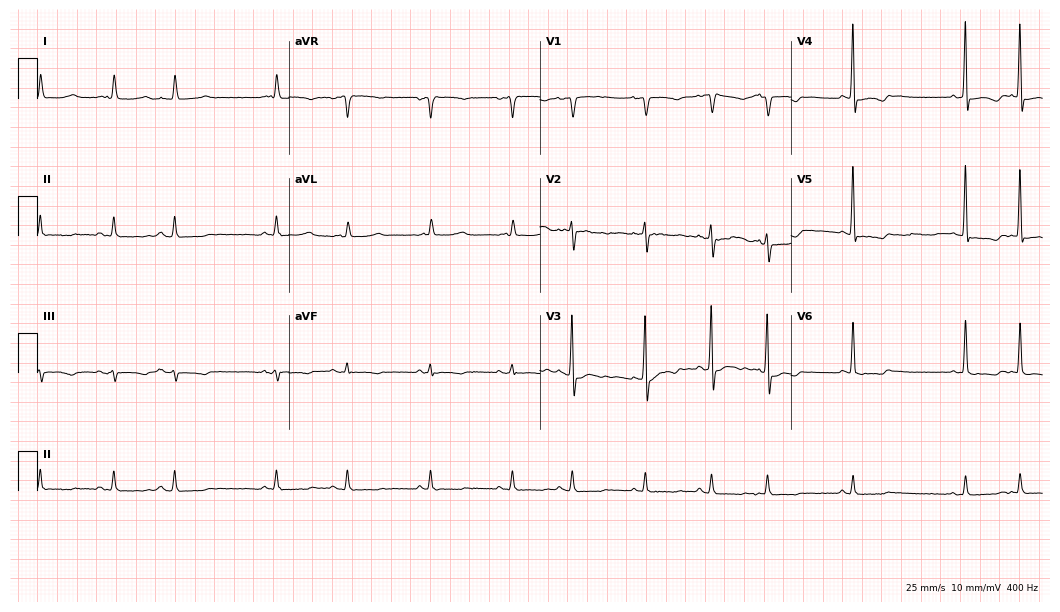
Standard 12-lead ECG recorded from an 81-year-old female. None of these six findings is recorded: first-degree AV block, right bundle branch block, left bundle branch block, sinus bradycardia, atrial fibrillation, sinus tachycardia. Other findings, if any, are not listed.